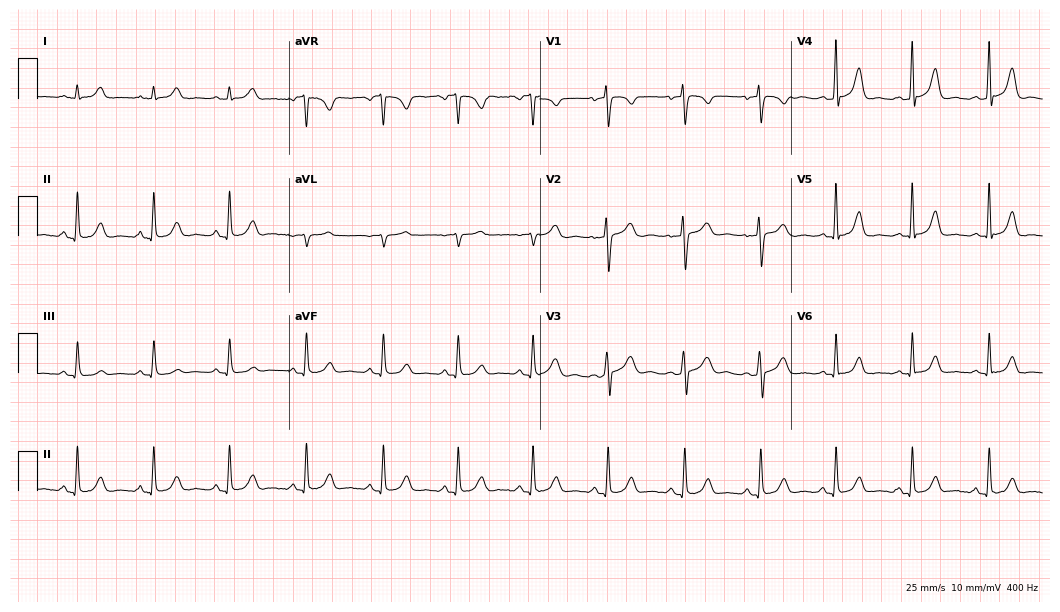
Standard 12-lead ECG recorded from a female patient, 33 years old. None of these six findings is recorded: first-degree AV block, right bundle branch block, left bundle branch block, sinus bradycardia, atrial fibrillation, sinus tachycardia.